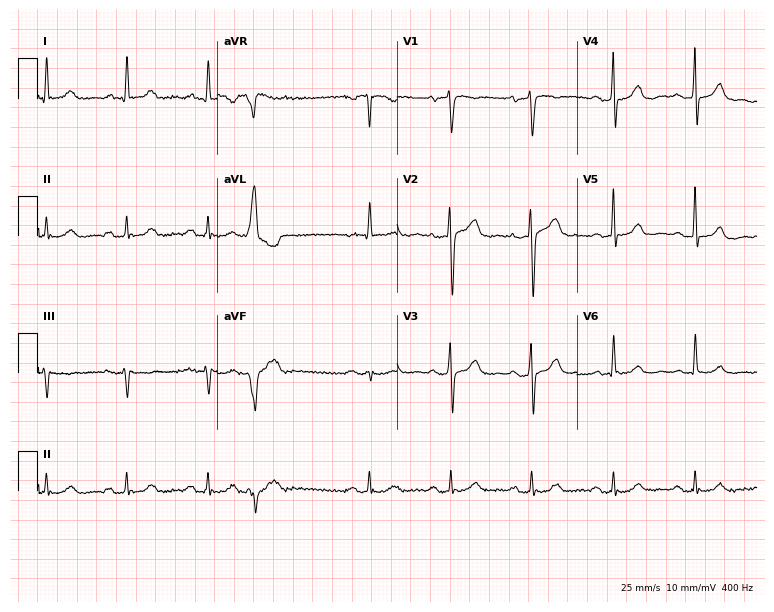
12-lead ECG from a male patient, 76 years old. Screened for six findings — first-degree AV block, right bundle branch block, left bundle branch block, sinus bradycardia, atrial fibrillation, sinus tachycardia — none is recorded. Other findings, if any, are not listed.